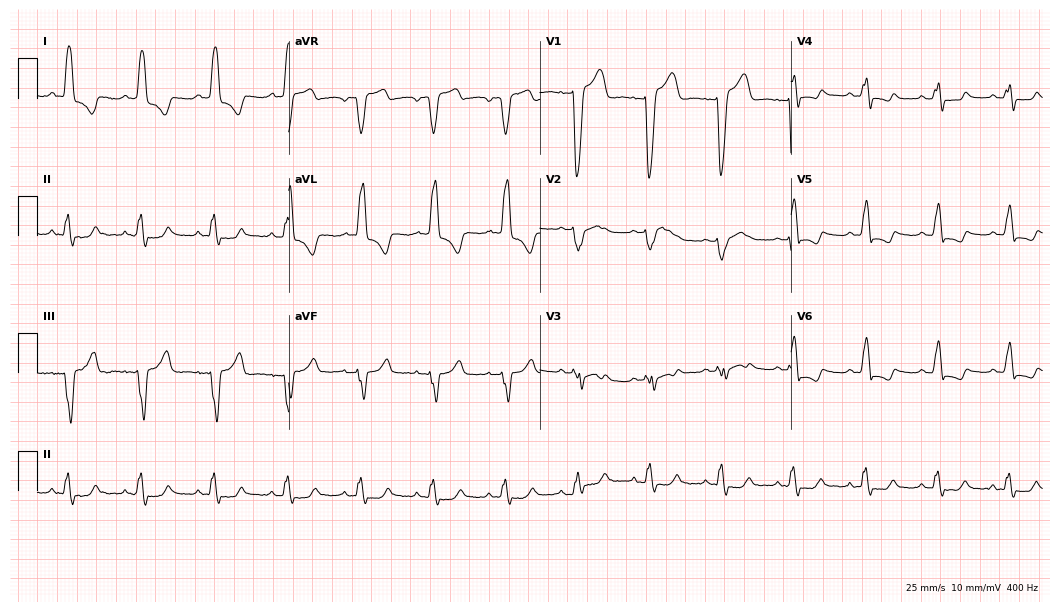
ECG (10.2-second recording at 400 Hz) — a female patient, 68 years old. Findings include left bundle branch block (LBBB).